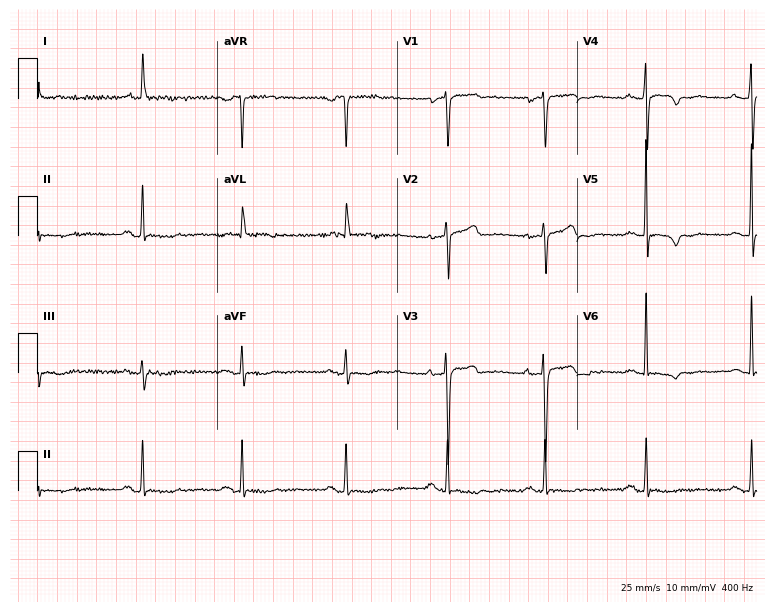
Standard 12-lead ECG recorded from a female, 68 years old (7.3-second recording at 400 Hz). None of these six findings is recorded: first-degree AV block, right bundle branch block, left bundle branch block, sinus bradycardia, atrial fibrillation, sinus tachycardia. Only these six findings were labelled.